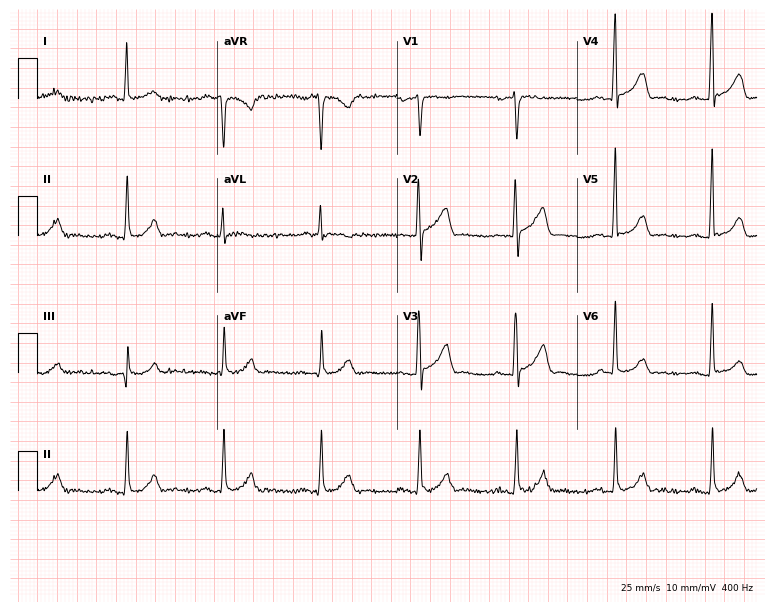
12-lead ECG from a 51-year-old man. Labelled as a normal ECG.